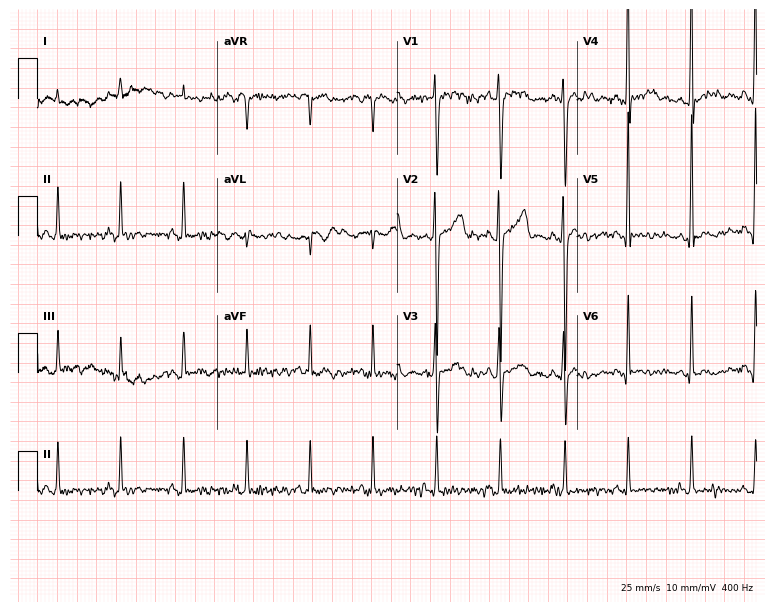
12-lead ECG from a 37-year-old man. Screened for six findings — first-degree AV block, right bundle branch block, left bundle branch block, sinus bradycardia, atrial fibrillation, sinus tachycardia — none is recorded.